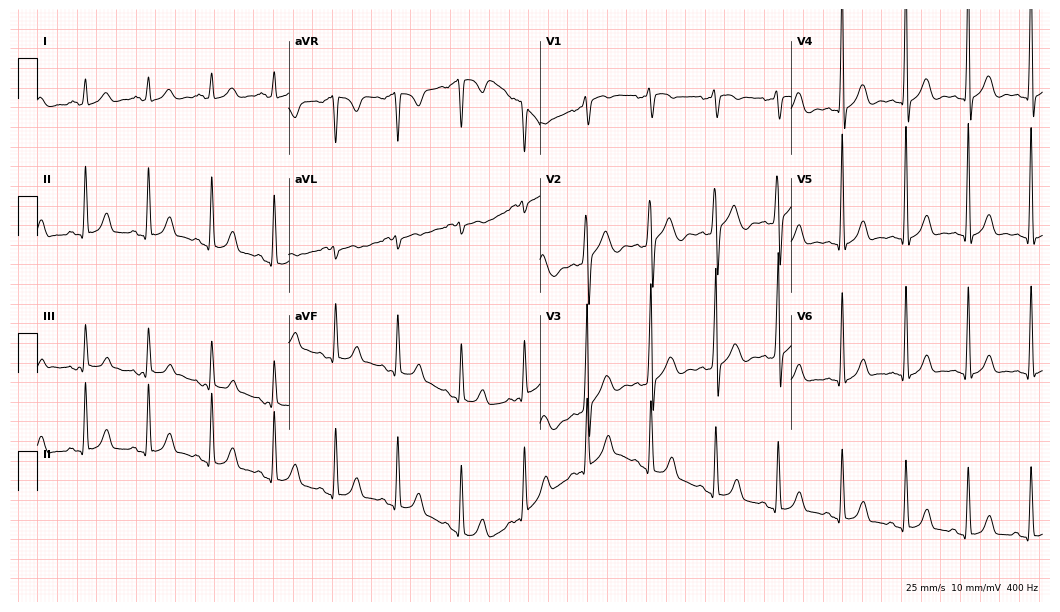
Standard 12-lead ECG recorded from a male patient, 24 years old. None of these six findings is recorded: first-degree AV block, right bundle branch block, left bundle branch block, sinus bradycardia, atrial fibrillation, sinus tachycardia. Findings outside these six are not listed.